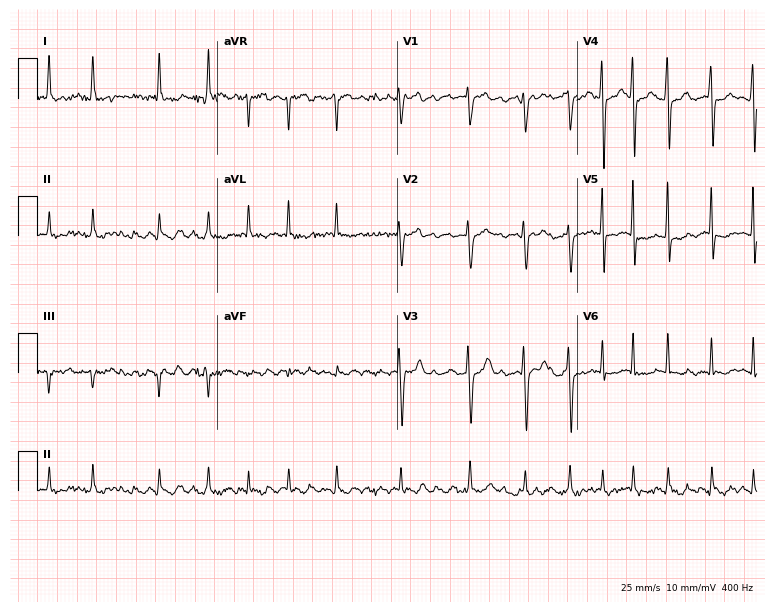
ECG — a female, 64 years old. Findings include atrial fibrillation (AF).